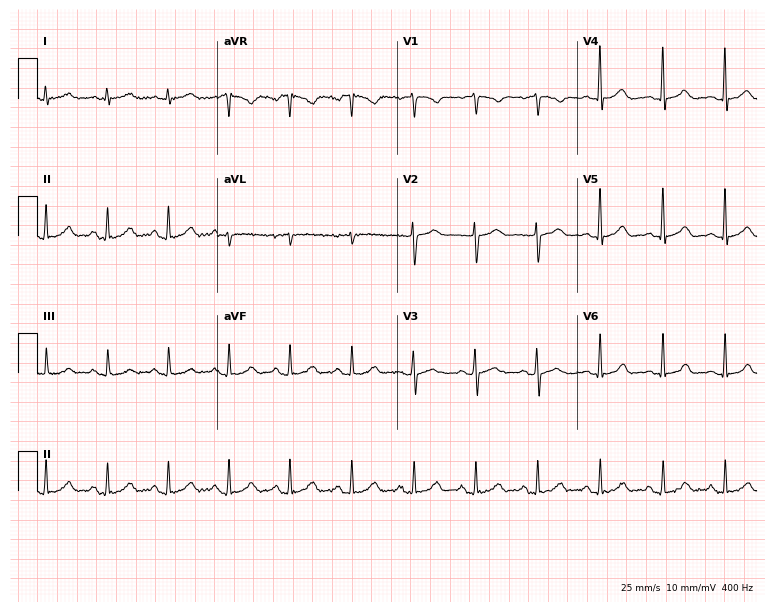
12-lead ECG from a 30-year-old female (7.3-second recording at 400 Hz). Recorded interpretation: within normal limits.